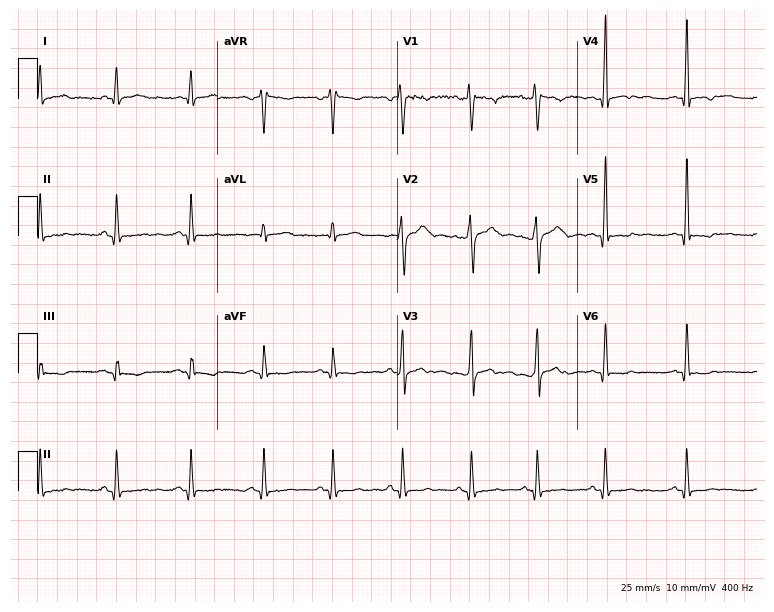
Resting 12-lead electrocardiogram (7.3-second recording at 400 Hz). Patient: a 23-year-old male. Read as a normal ECG.